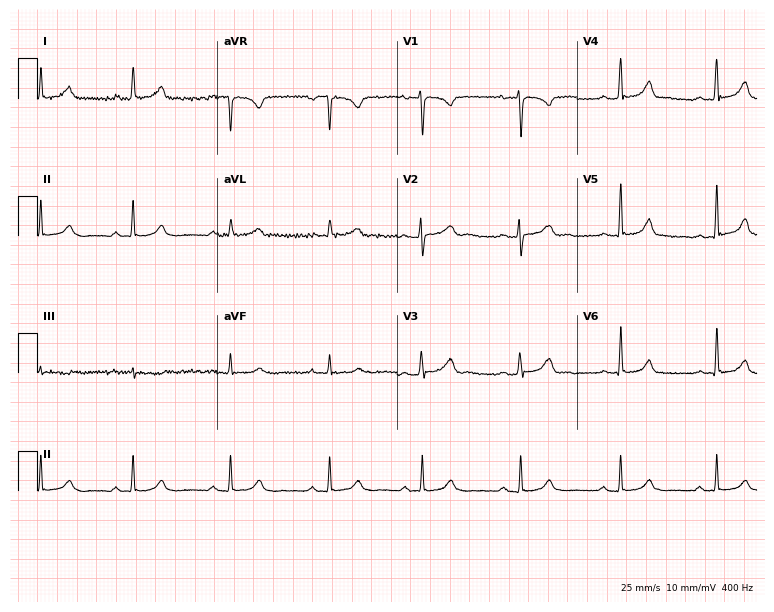
Electrocardiogram, a female patient, 33 years old. Of the six screened findings (first-degree AV block, right bundle branch block, left bundle branch block, sinus bradycardia, atrial fibrillation, sinus tachycardia), none is recorded. Findings outside these six are not listed.